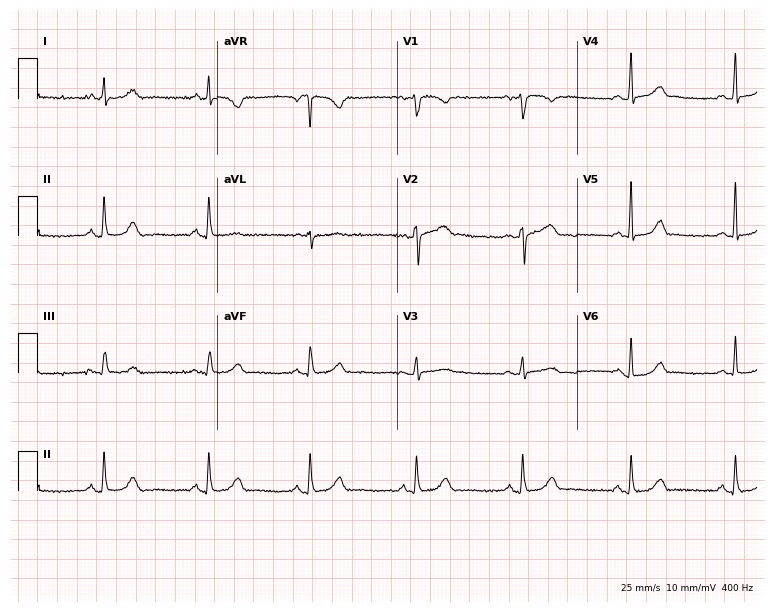
Electrocardiogram (7.3-second recording at 400 Hz), a 38-year-old female patient. Of the six screened findings (first-degree AV block, right bundle branch block, left bundle branch block, sinus bradycardia, atrial fibrillation, sinus tachycardia), none is recorded.